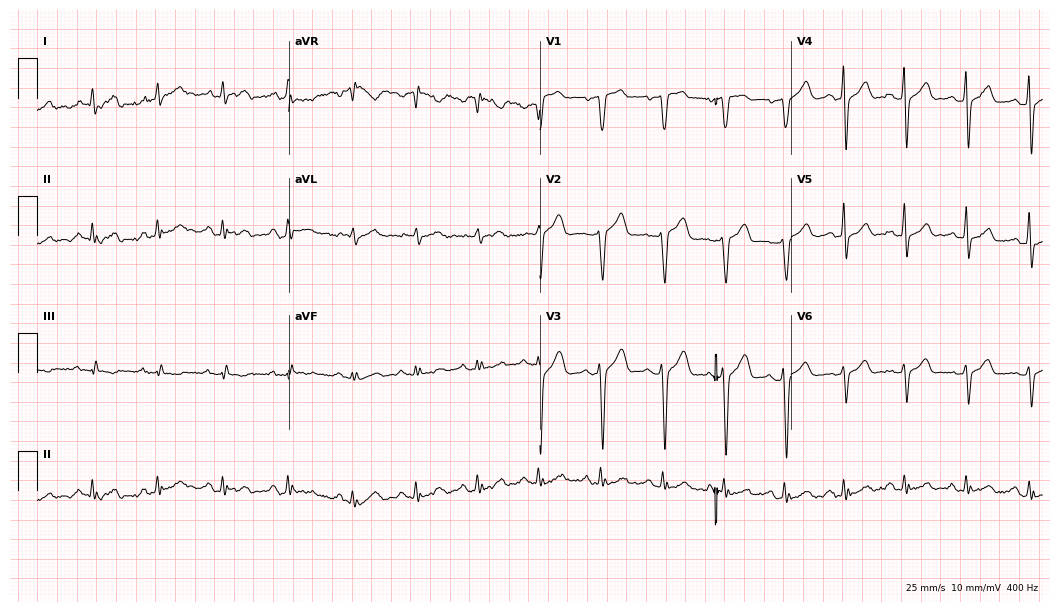
Electrocardiogram, a 38-year-old male. Of the six screened findings (first-degree AV block, right bundle branch block, left bundle branch block, sinus bradycardia, atrial fibrillation, sinus tachycardia), none is recorded.